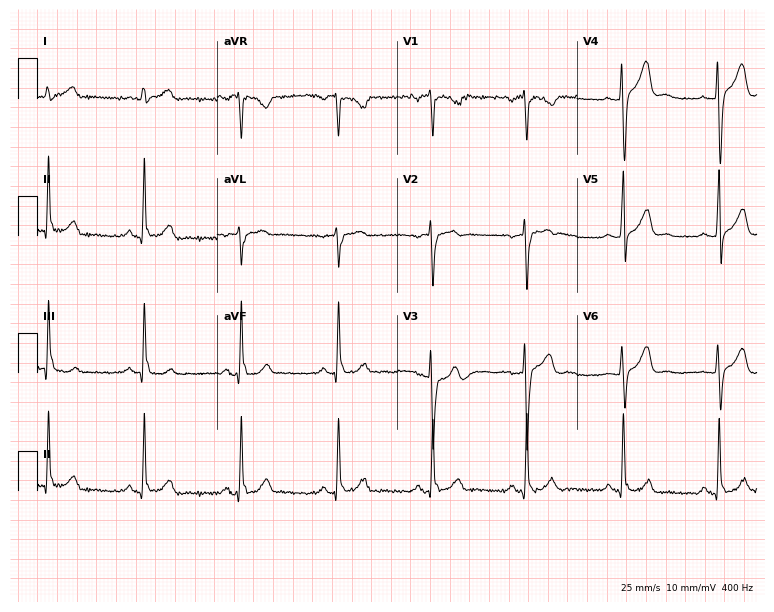
Electrocardiogram, a 30-year-old man. Overall reading on record: normal ECG.